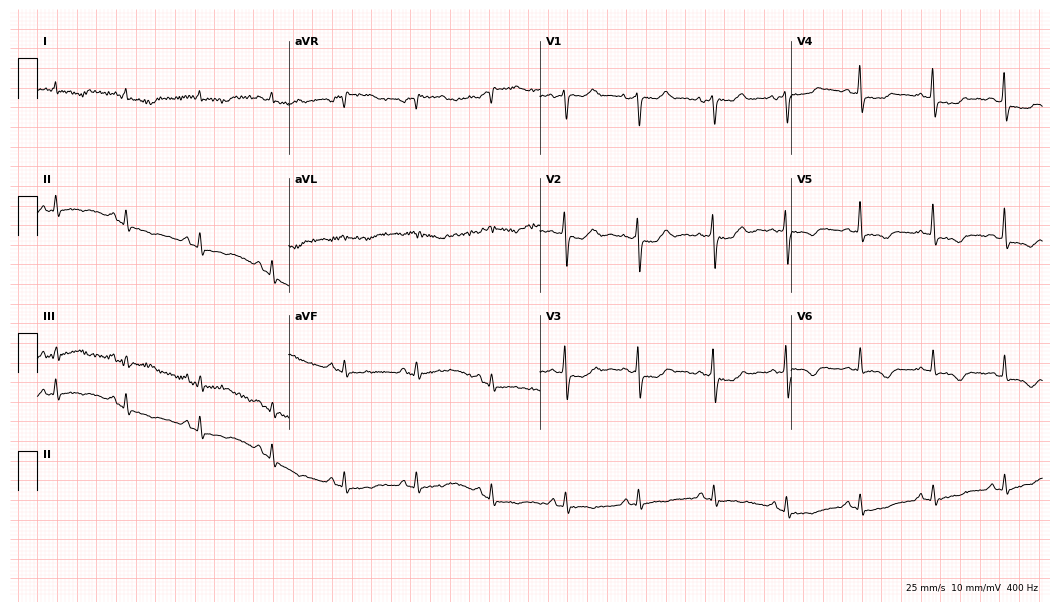
Standard 12-lead ECG recorded from a woman, 43 years old (10.2-second recording at 400 Hz). None of these six findings is recorded: first-degree AV block, right bundle branch block, left bundle branch block, sinus bradycardia, atrial fibrillation, sinus tachycardia.